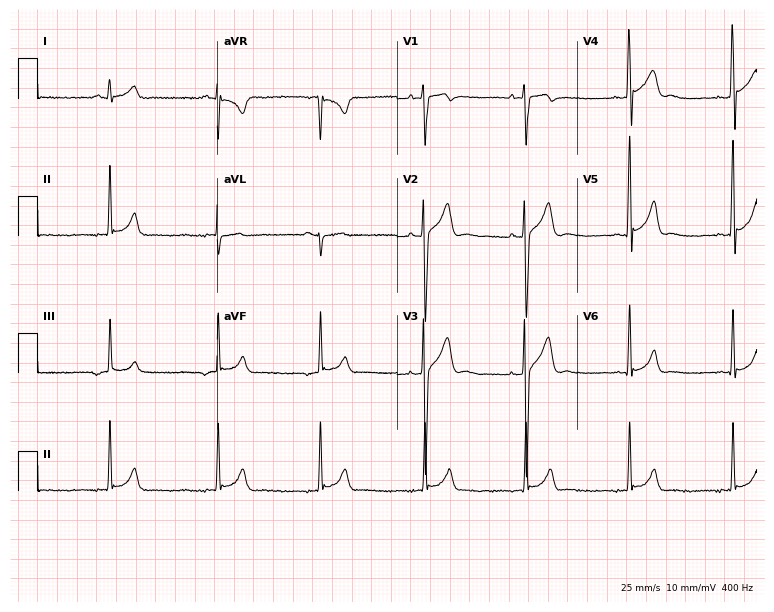
12-lead ECG from a man, 19 years old. Recorded interpretation: within normal limits.